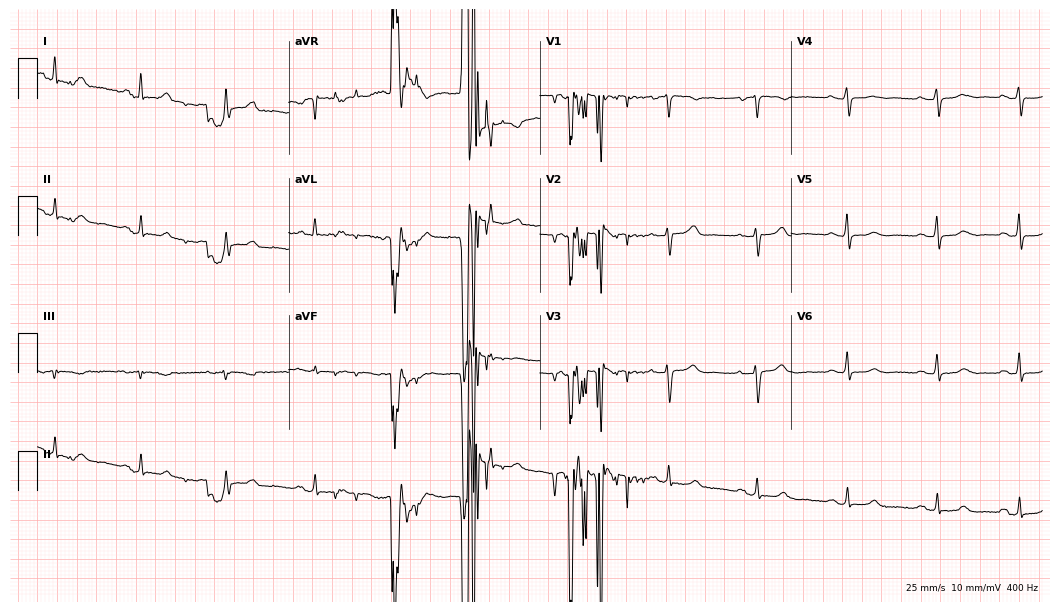
Resting 12-lead electrocardiogram. Patient: a 59-year-old female. None of these six findings is recorded: first-degree AV block, right bundle branch block, left bundle branch block, sinus bradycardia, atrial fibrillation, sinus tachycardia.